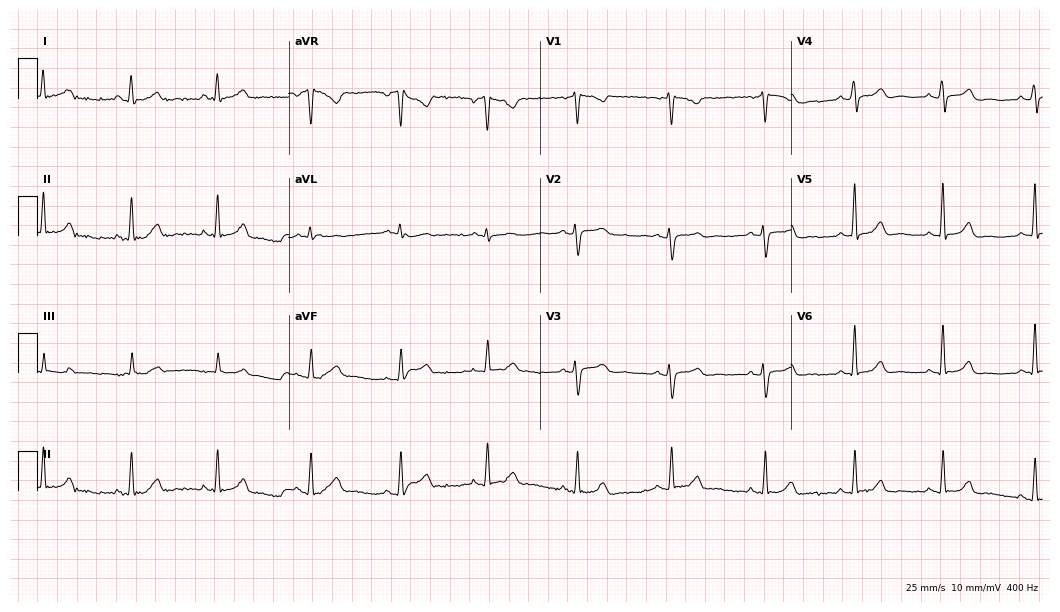
Resting 12-lead electrocardiogram (10.2-second recording at 400 Hz). Patient: a 27-year-old woman. Read as a normal ECG.